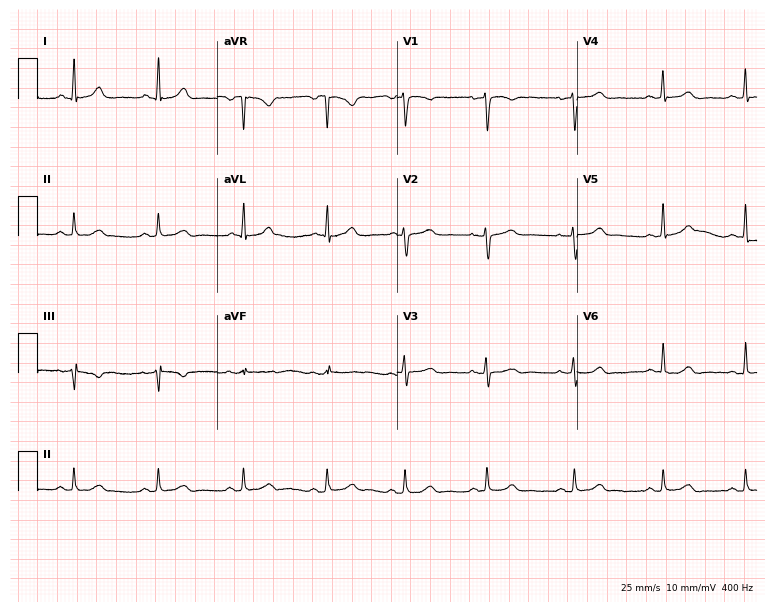
Resting 12-lead electrocardiogram. Patient: a 35-year-old female. Read as a normal ECG.